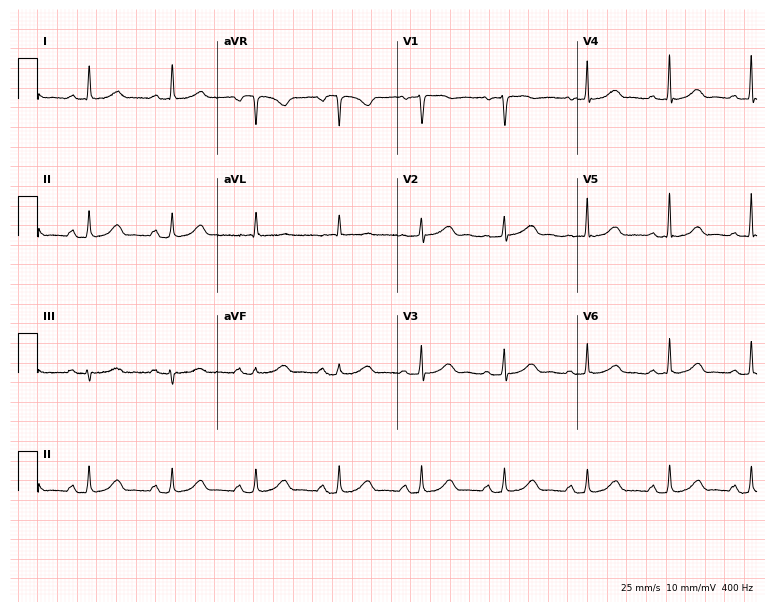
ECG — a 79-year-old female. Labelled as a normal ECG.